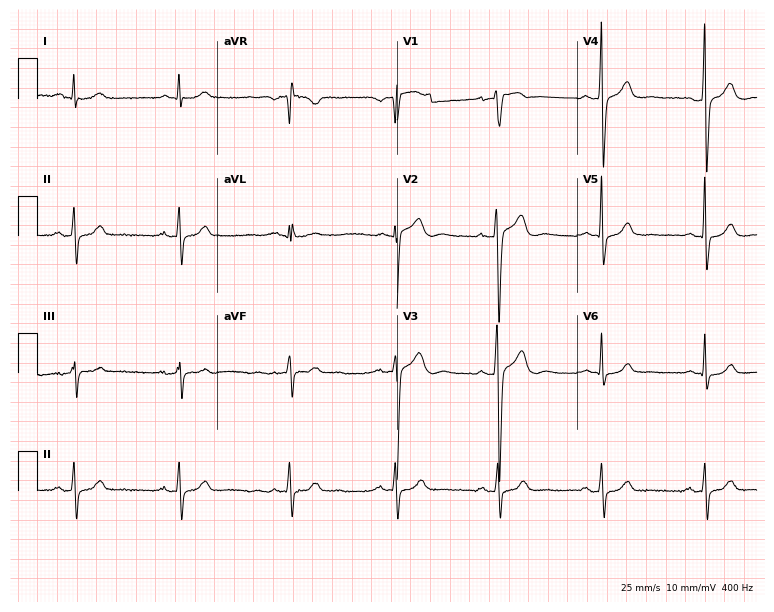
12-lead ECG from a man, 42 years old. Labelled as a normal ECG.